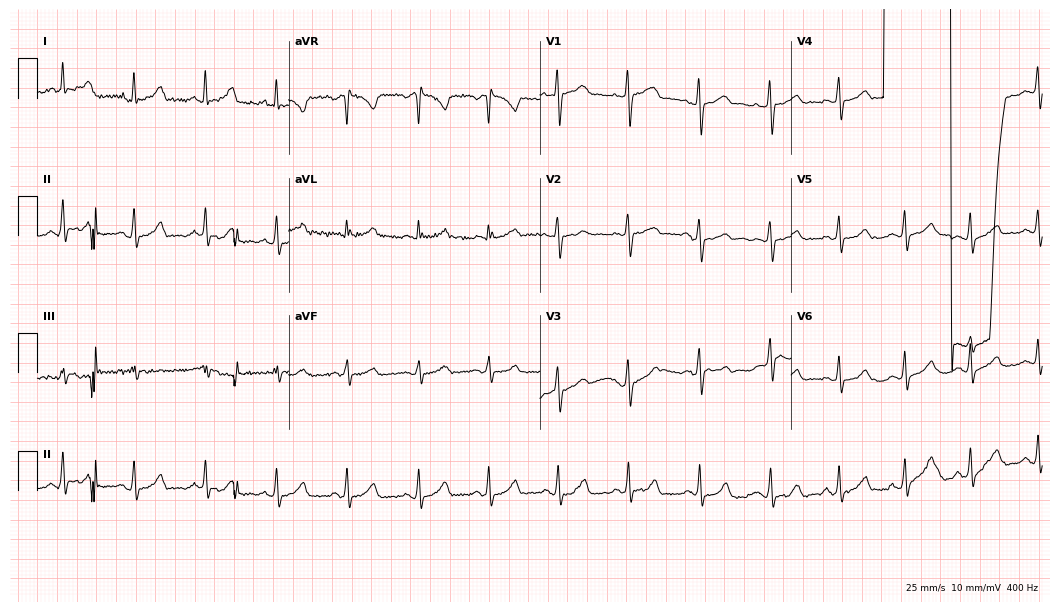
Electrocardiogram (10.2-second recording at 400 Hz), a 30-year-old female patient. Of the six screened findings (first-degree AV block, right bundle branch block (RBBB), left bundle branch block (LBBB), sinus bradycardia, atrial fibrillation (AF), sinus tachycardia), none is recorded.